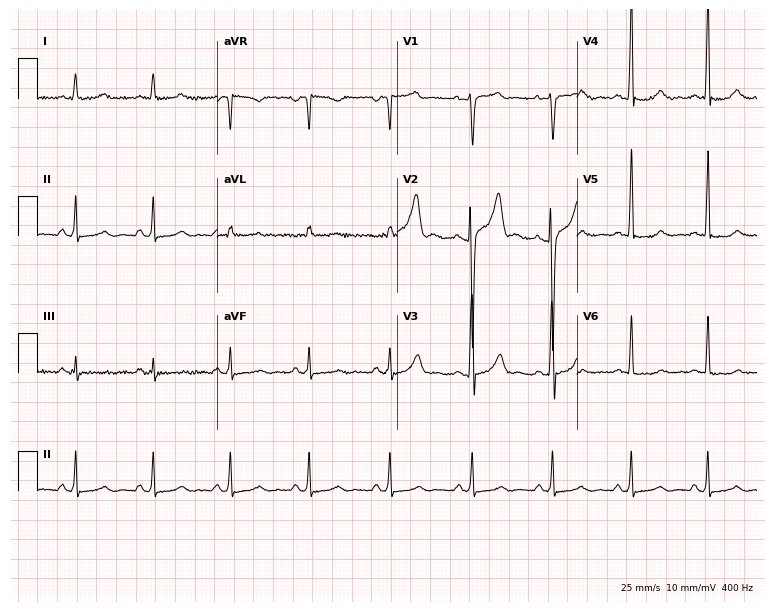
Electrocardiogram, a male, 44 years old. Of the six screened findings (first-degree AV block, right bundle branch block, left bundle branch block, sinus bradycardia, atrial fibrillation, sinus tachycardia), none is recorded.